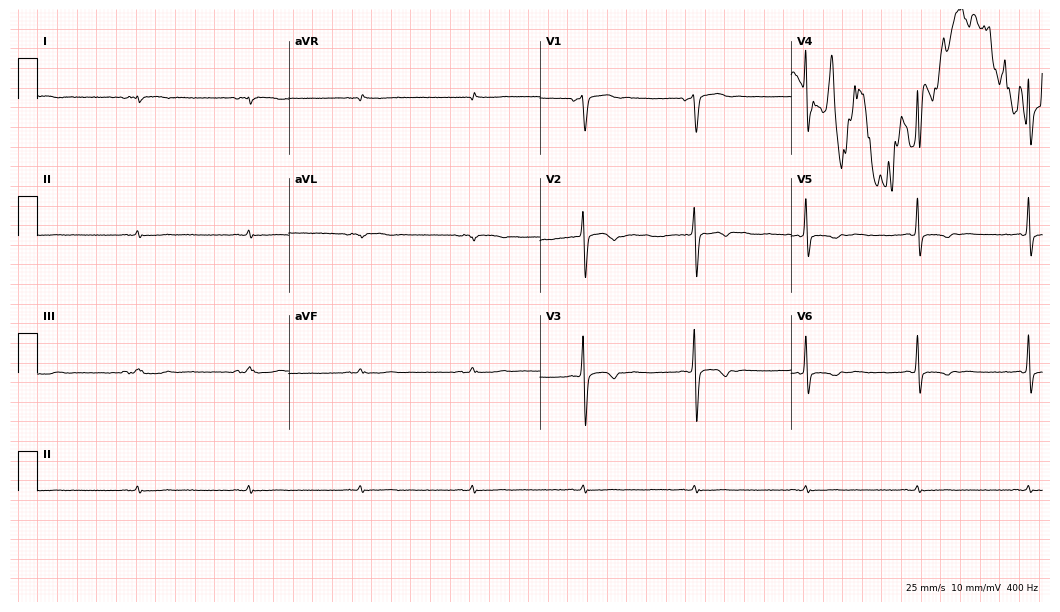
Resting 12-lead electrocardiogram. Patient: a 68-year-old male. None of these six findings is recorded: first-degree AV block, right bundle branch block, left bundle branch block, sinus bradycardia, atrial fibrillation, sinus tachycardia.